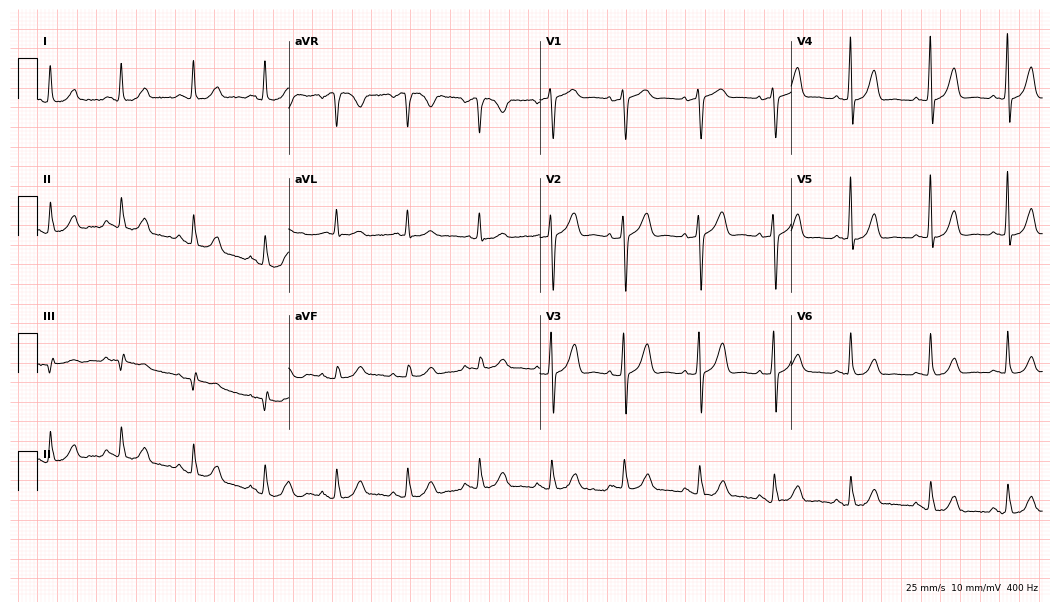
Electrocardiogram, a 66-year-old female patient. Of the six screened findings (first-degree AV block, right bundle branch block (RBBB), left bundle branch block (LBBB), sinus bradycardia, atrial fibrillation (AF), sinus tachycardia), none is recorded.